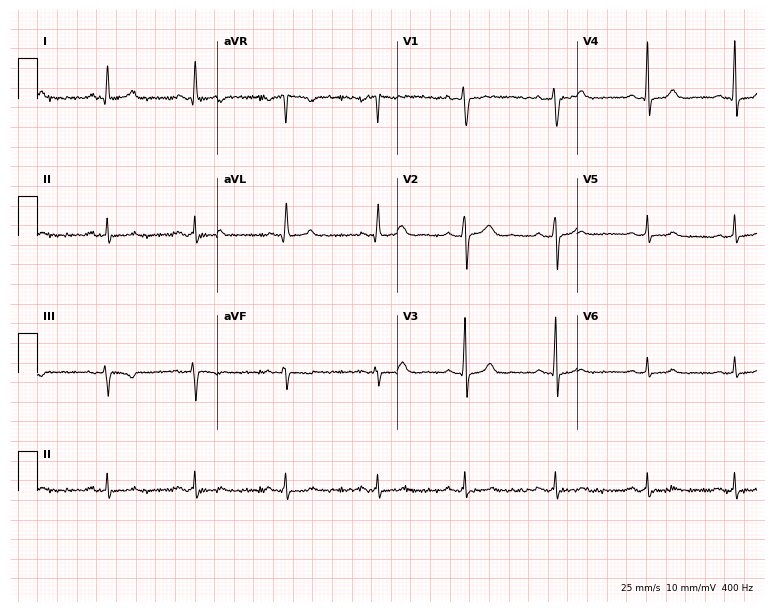
12-lead ECG (7.3-second recording at 400 Hz) from a 33-year-old female. Labelled as a normal ECG.